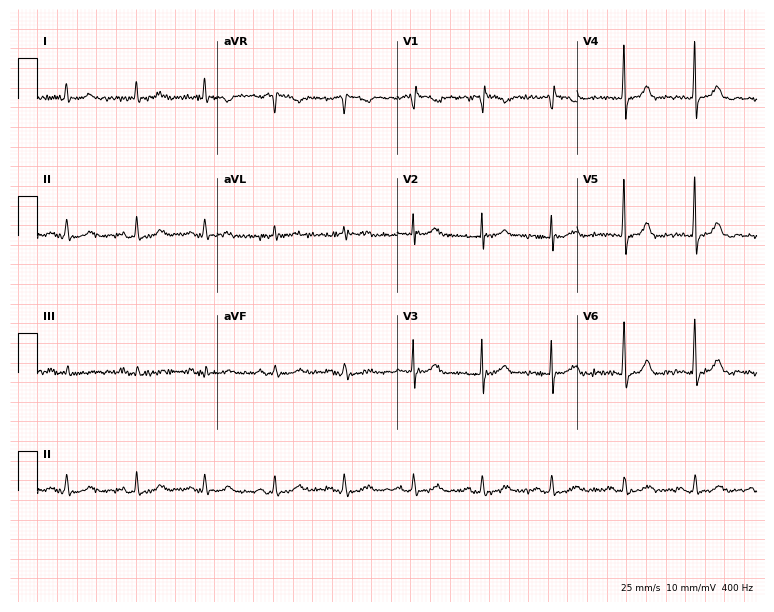
12-lead ECG from an 83-year-old man. Screened for six findings — first-degree AV block, right bundle branch block (RBBB), left bundle branch block (LBBB), sinus bradycardia, atrial fibrillation (AF), sinus tachycardia — none is recorded.